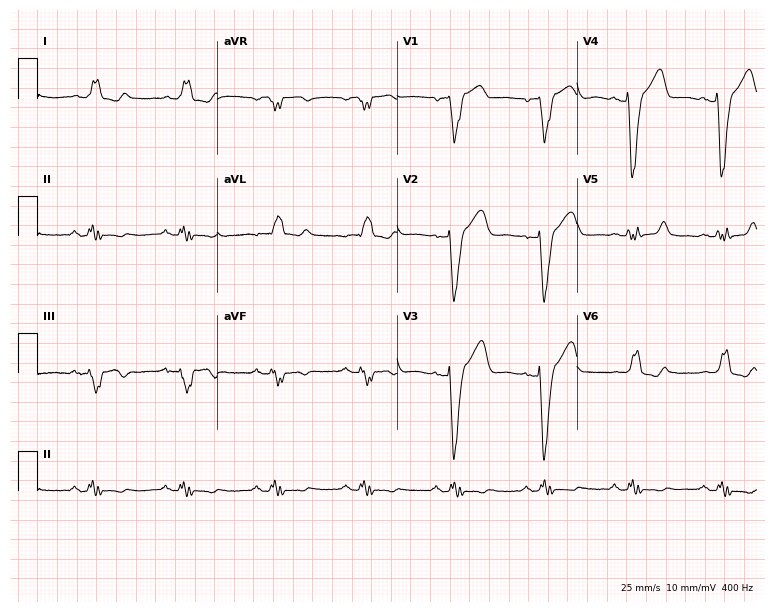
12-lead ECG from a male, 70 years old. Findings include left bundle branch block.